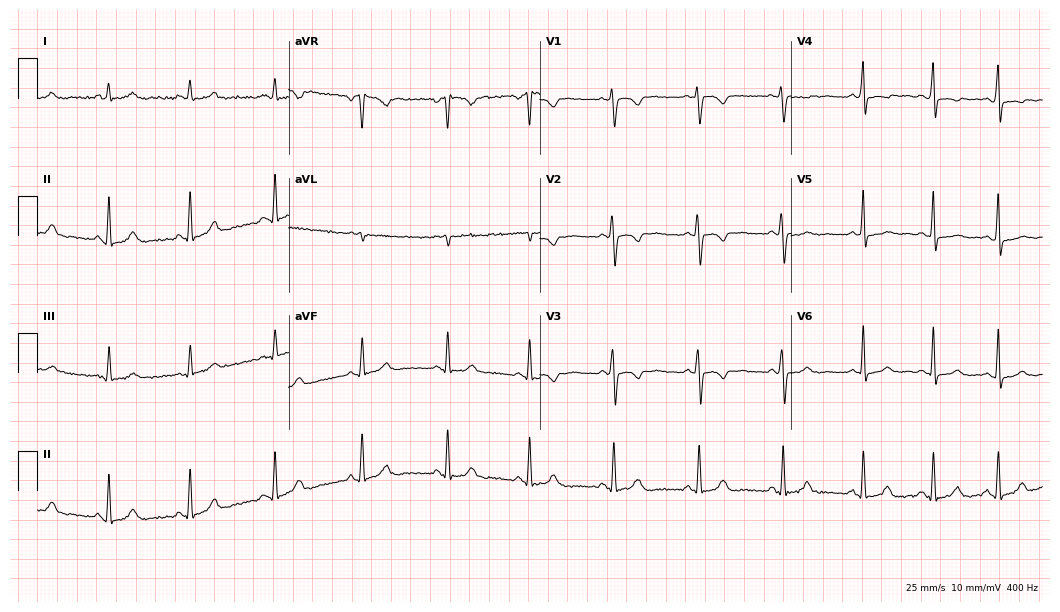
ECG — a female patient, 34 years old. Screened for six findings — first-degree AV block, right bundle branch block, left bundle branch block, sinus bradycardia, atrial fibrillation, sinus tachycardia — none is recorded.